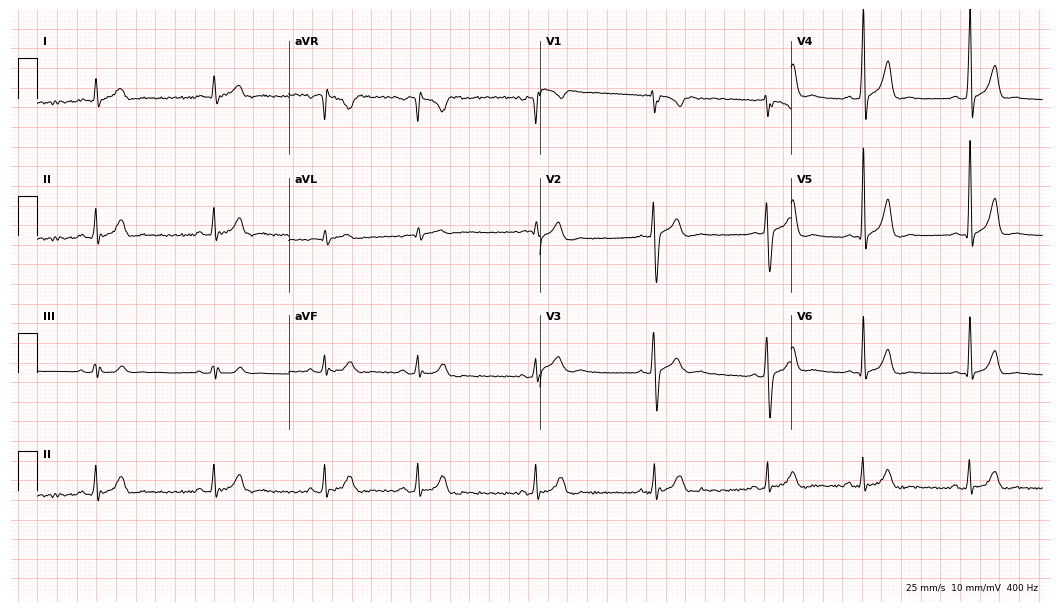
Electrocardiogram (10.2-second recording at 400 Hz), a 26-year-old man. Overall reading on record: normal ECG.